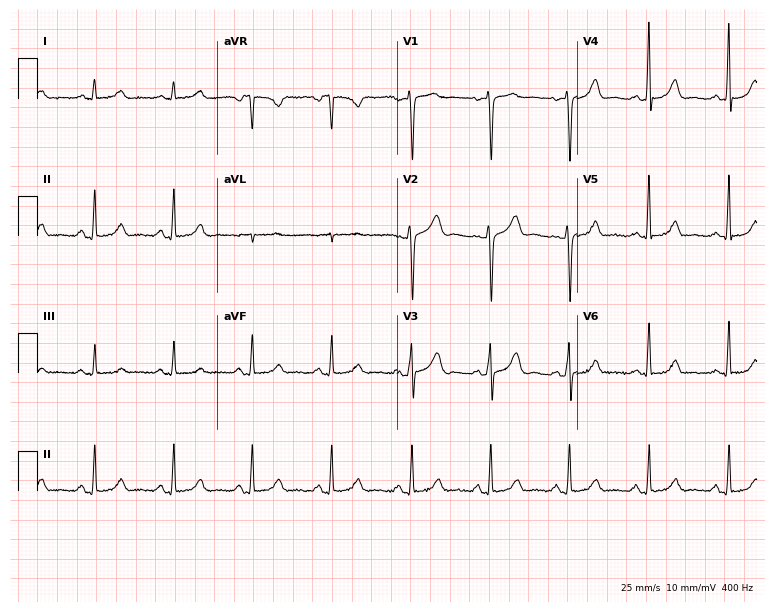
12-lead ECG from a female patient, 59 years old. No first-degree AV block, right bundle branch block, left bundle branch block, sinus bradycardia, atrial fibrillation or sinus tachycardia recorded for this tracing. Findings outside these six are not listed.